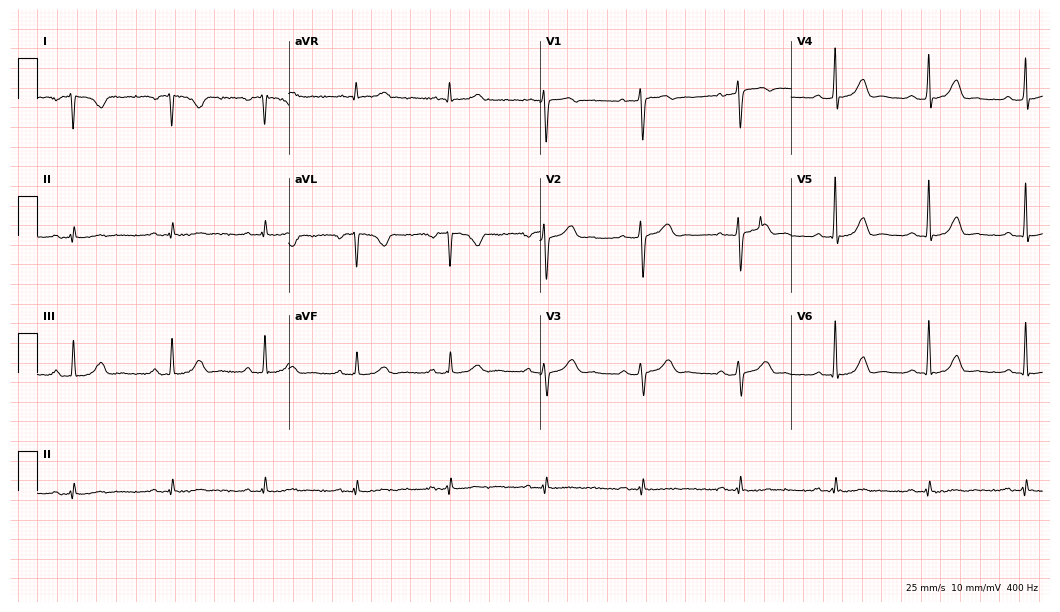
12-lead ECG from a woman, 36 years old. No first-degree AV block, right bundle branch block (RBBB), left bundle branch block (LBBB), sinus bradycardia, atrial fibrillation (AF) or sinus tachycardia recorded for this tracing.